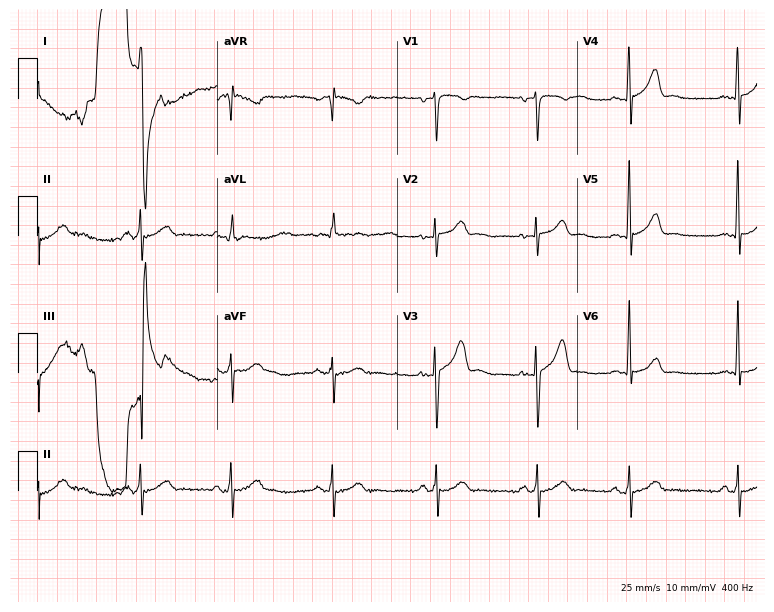
12-lead ECG from a 58-year-old male patient (7.3-second recording at 400 Hz). No first-degree AV block, right bundle branch block, left bundle branch block, sinus bradycardia, atrial fibrillation or sinus tachycardia recorded for this tracing.